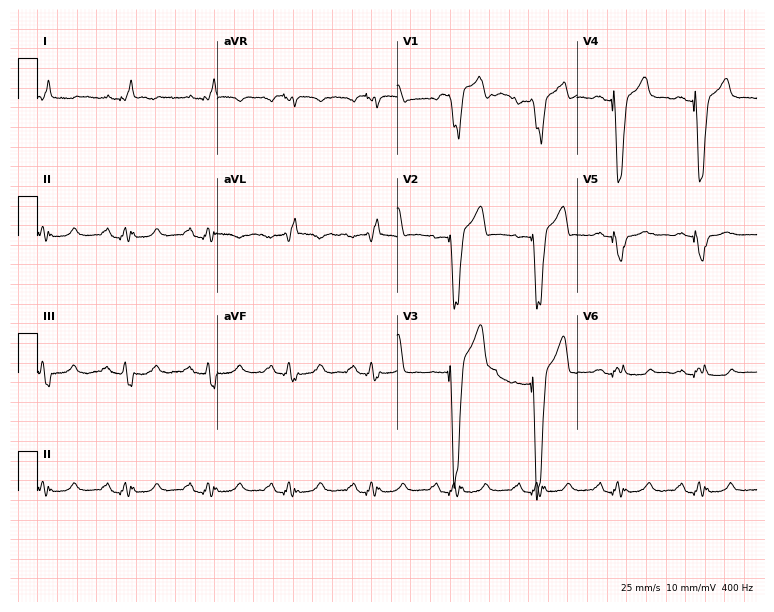
Standard 12-lead ECG recorded from a male, 66 years old (7.3-second recording at 400 Hz). None of these six findings is recorded: first-degree AV block, right bundle branch block (RBBB), left bundle branch block (LBBB), sinus bradycardia, atrial fibrillation (AF), sinus tachycardia. Findings outside these six are not listed.